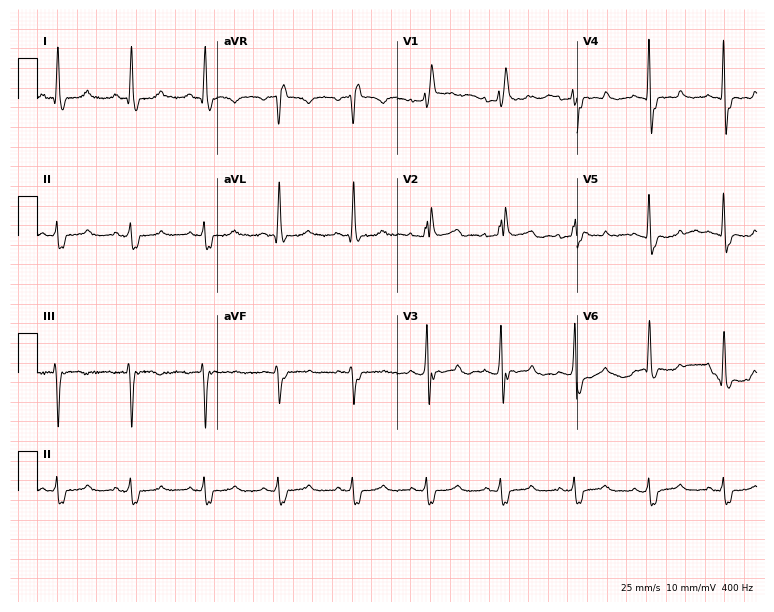
Resting 12-lead electrocardiogram (7.3-second recording at 400 Hz). Patient: a 60-year-old female. The tracing shows right bundle branch block.